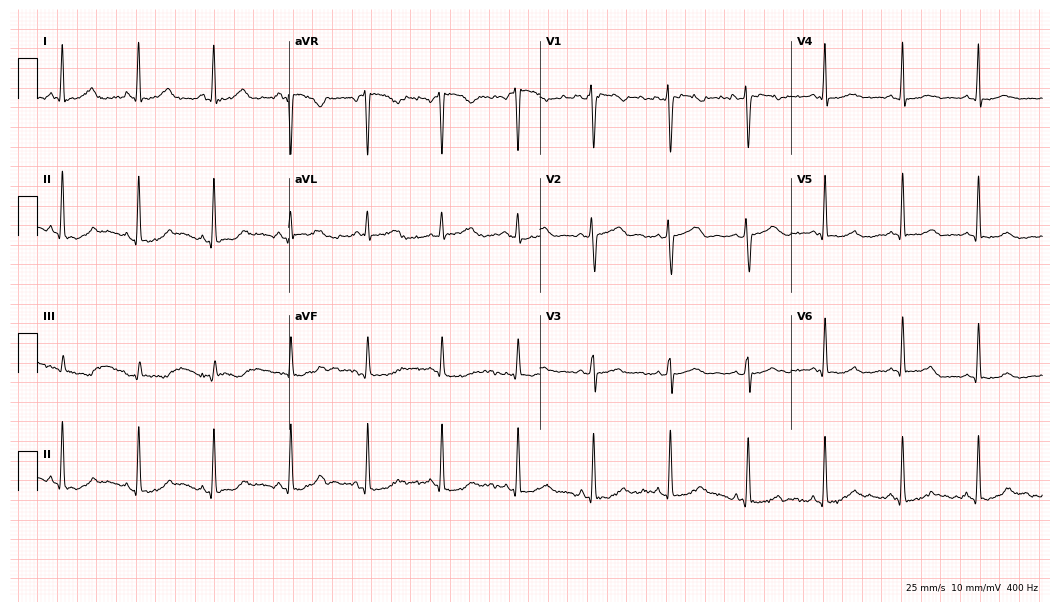
Resting 12-lead electrocardiogram (10.2-second recording at 400 Hz). Patient: a 28-year-old female. None of these six findings is recorded: first-degree AV block, right bundle branch block, left bundle branch block, sinus bradycardia, atrial fibrillation, sinus tachycardia.